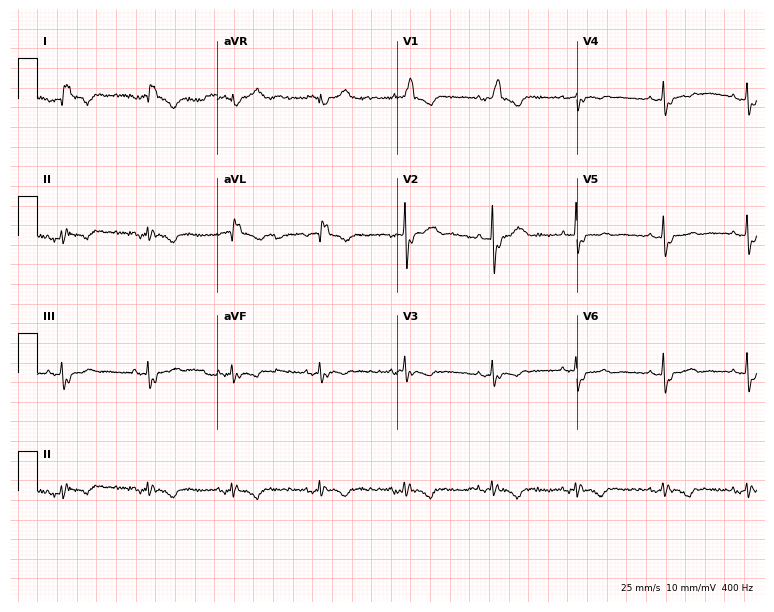
12-lead ECG (7.3-second recording at 400 Hz) from a female, 51 years old. Findings include right bundle branch block.